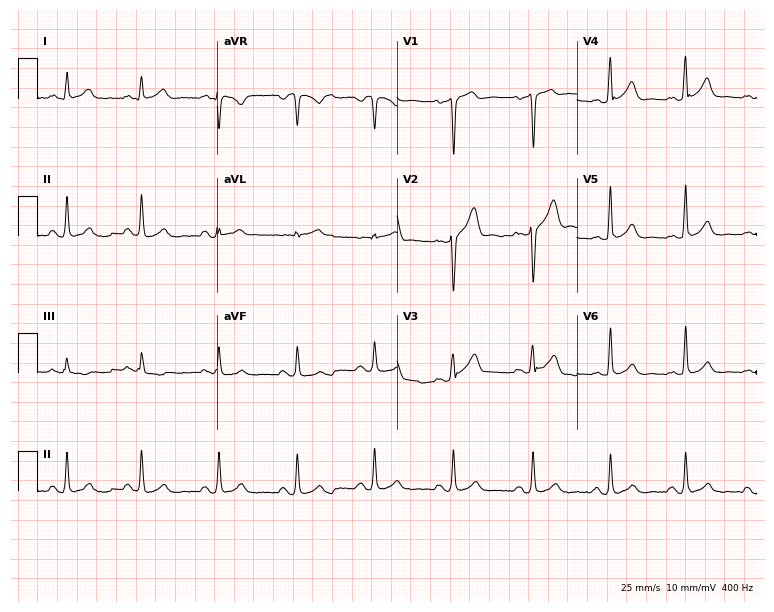
Standard 12-lead ECG recorded from a 28-year-old male (7.3-second recording at 400 Hz). None of these six findings is recorded: first-degree AV block, right bundle branch block (RBBB), left bundle branch block (LBBB), sinus bradycardia, atrial fibrillation (AF), sinus tachycardia. Other findings, if any, are not listed.